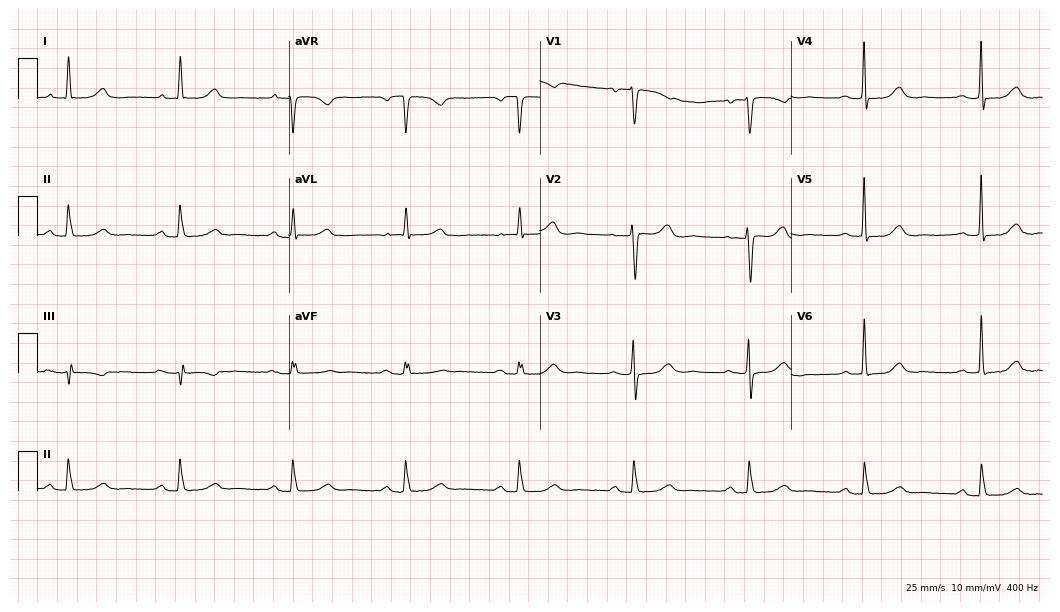
12-lead ECG from a female, 83 years old (10.2-second recording at 400 Hz). No first-degree AV block, right bundle branch block, left bundle branch block, sinus bradycardia, atrial fibrillation or sinus tachycardia recorded for this tracing. Only these six findings were labelled.